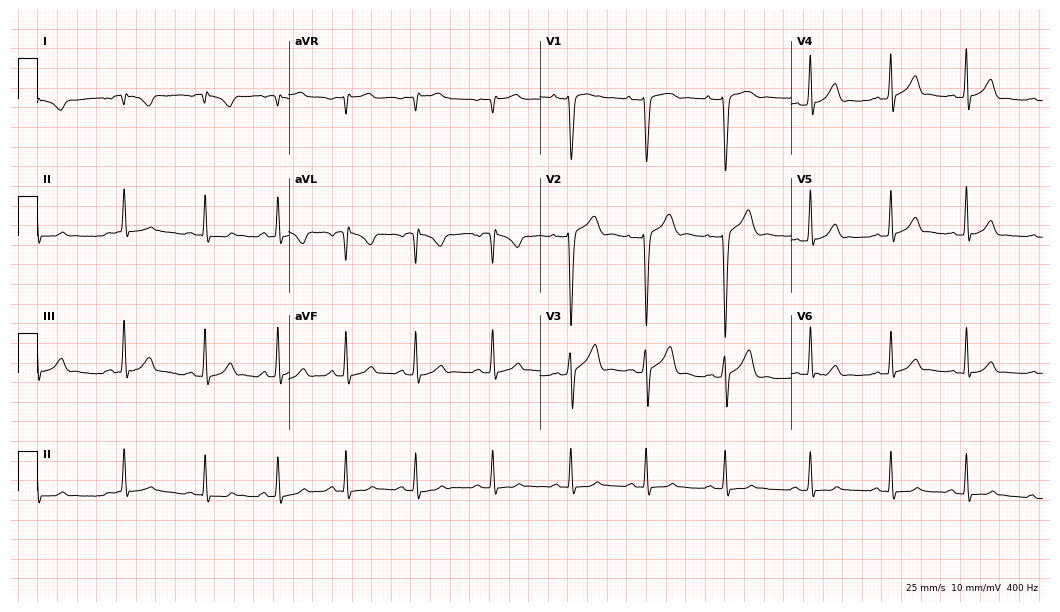
12-lead ECG from a 20-year-old man. Screened for six findings — first-degree AV block, right bundle branch block (RBBB), left bundle branch block (LBBB), sinus bradycardia, atrial fibrillation (AF), sinus tachycardia — none is recorded. Findings outside these six are not listed.